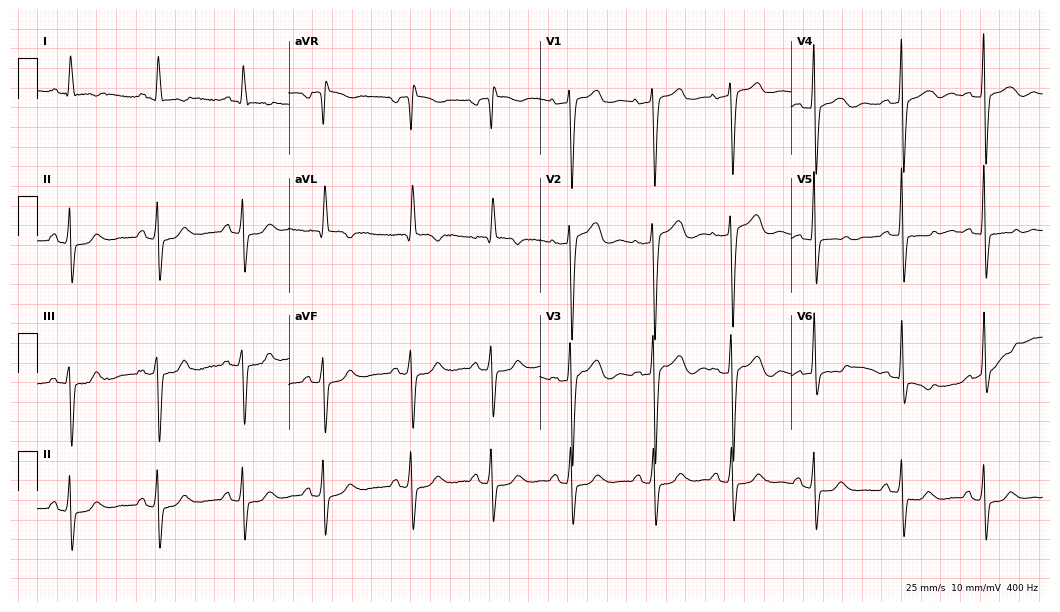
12-lead ECG from a female patient, 73 years old. No first-degree AV block, right bundle branch block (RBBB), left bundle branch block (LBBB), sinus bradycardia, atrial fibrillation (AF) or sinus tachycardia recorded for this tracing.